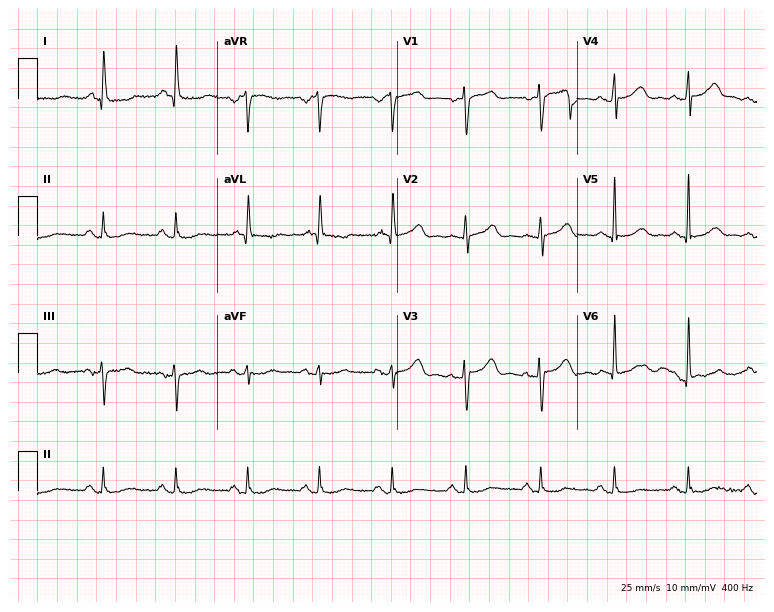
Resting 12-lead electrocardiogram (7.3-second recording at 400 Hz). Patient: a 59-year-old female. Read as a normal ECG.